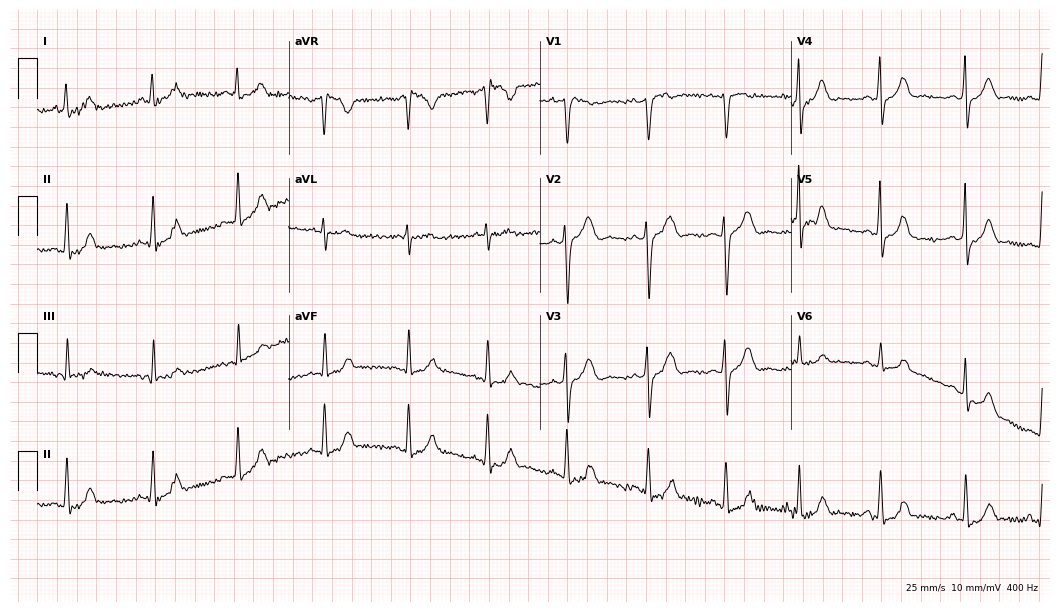
Electrocardiogram (10.2-second recording at 400 Hz), a 22-year-old woman. Of the six screened findings (first-degree AV block, right bundle branch block, left bundle branch block, sinus bradycardia, atrial fibrillation, sinus tachycardia), none is recorded.